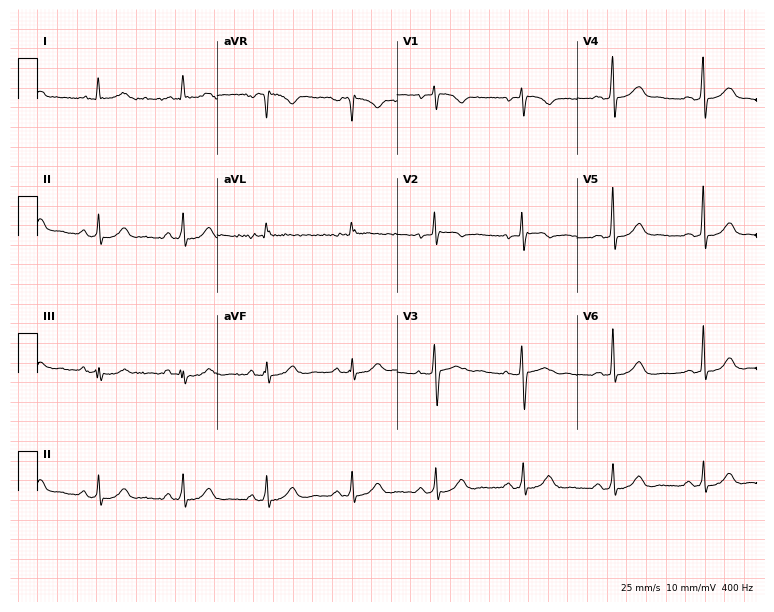
12-lead ECG from a 39-year-old female patient (7.3-second recording at 400 Hz). No first-degree AV block, right bundle branch block (RBBB), left bundle branch block (LBBB), sinus bradycardia, atrial fibrillation (AF) or sinus tachycardia recorded for this tracing. Other findings, if any, are not listed.